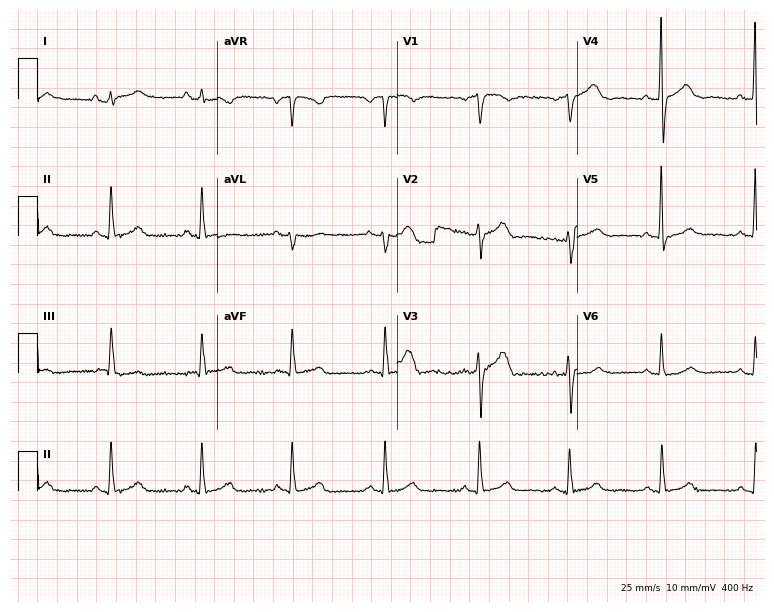
ECG (7.3-second recording at 400 Hz) — a 72-year-old male patient. Labelled as a normal ECG.